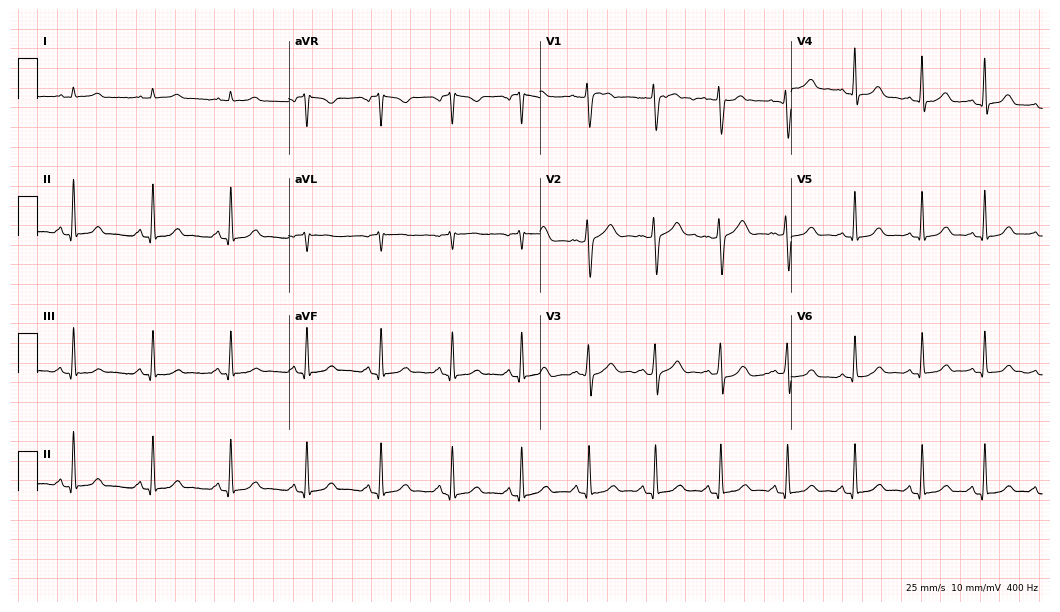
ECG (10.2-second recording at 400 Hz) — a 45-year-old female. Labelled as a normal ECG.